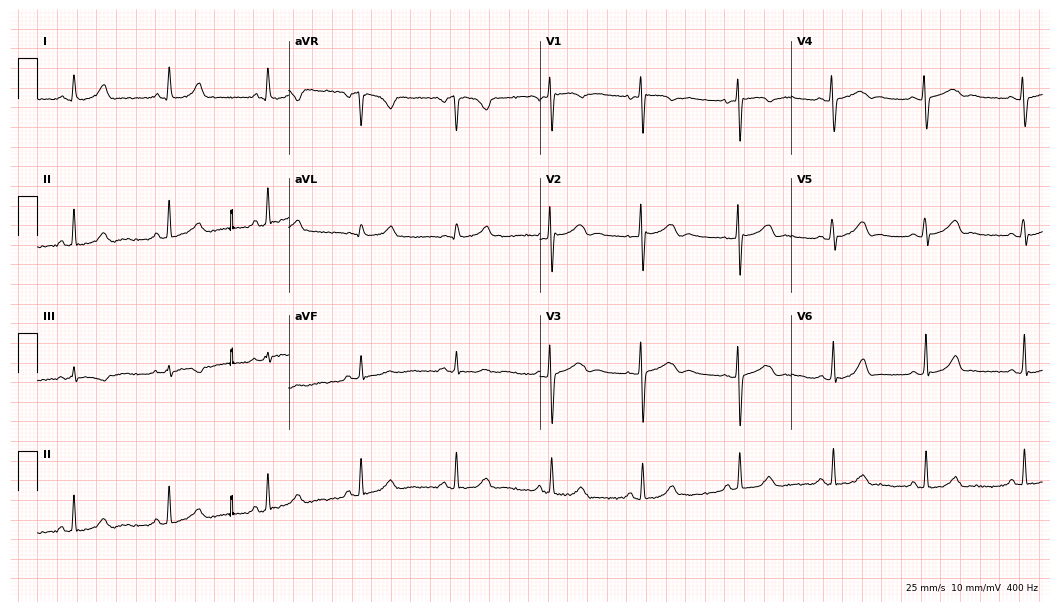
12-lead ECG (10.2-second recording at 400 Hz) from a female patient, 34 years old. Labelled as a normal ECG.